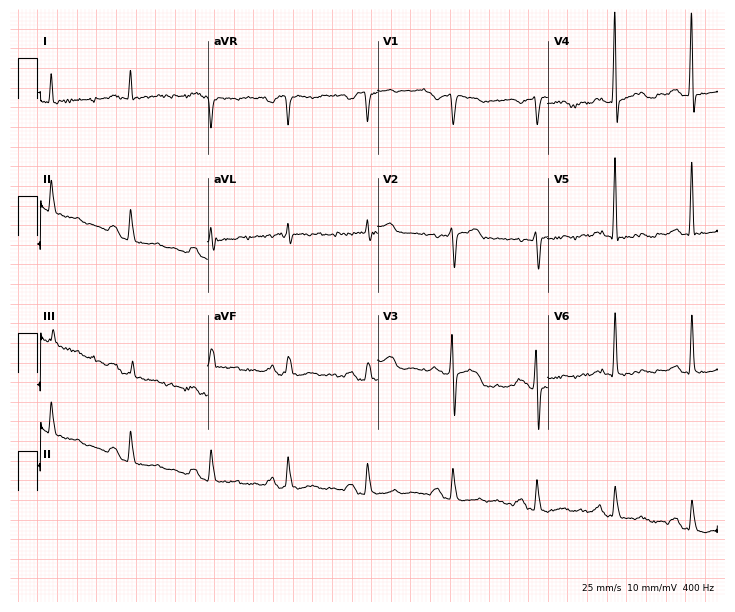
12-lead ECG from a 51-year-old man (6.9-second recording at 400 Hz). No first-degree AV block, right bundle branch block, left bundle branch block, sinus bradycardia, atrial fibrillation or sinus tachycardia recorded for this tracing.